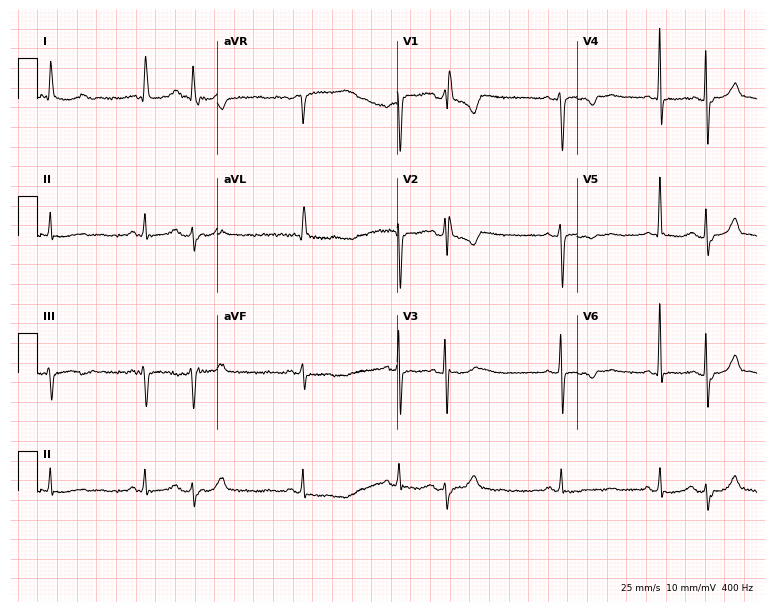
12-lead ECG from a female patient, 73 years old. No first-degree AV block, right bundle branch block, left bundle branch block, sinus bradycardia, atrial fibrillation or sinus tachycardia recorded for this tracing. Findings outside these six are not listed.